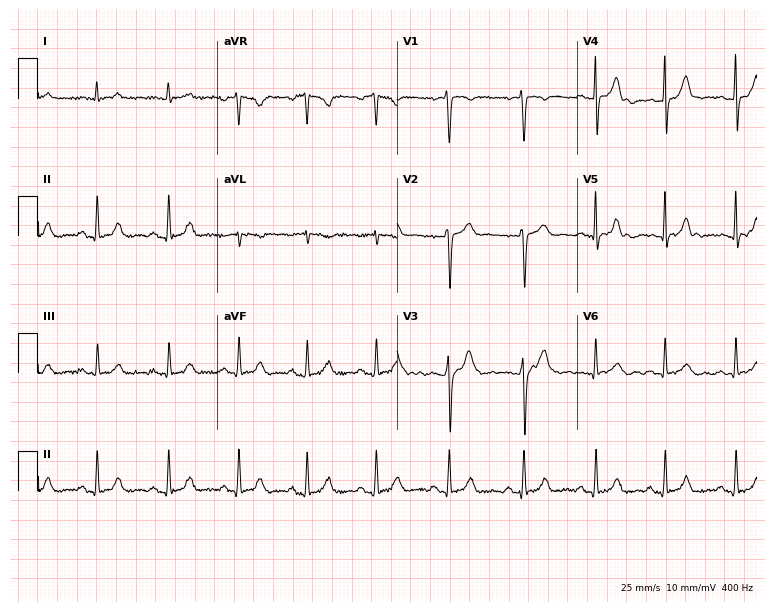
Standard 12-lead ECG recorded from a female patient, 35 years old. Read as a normal ECG.